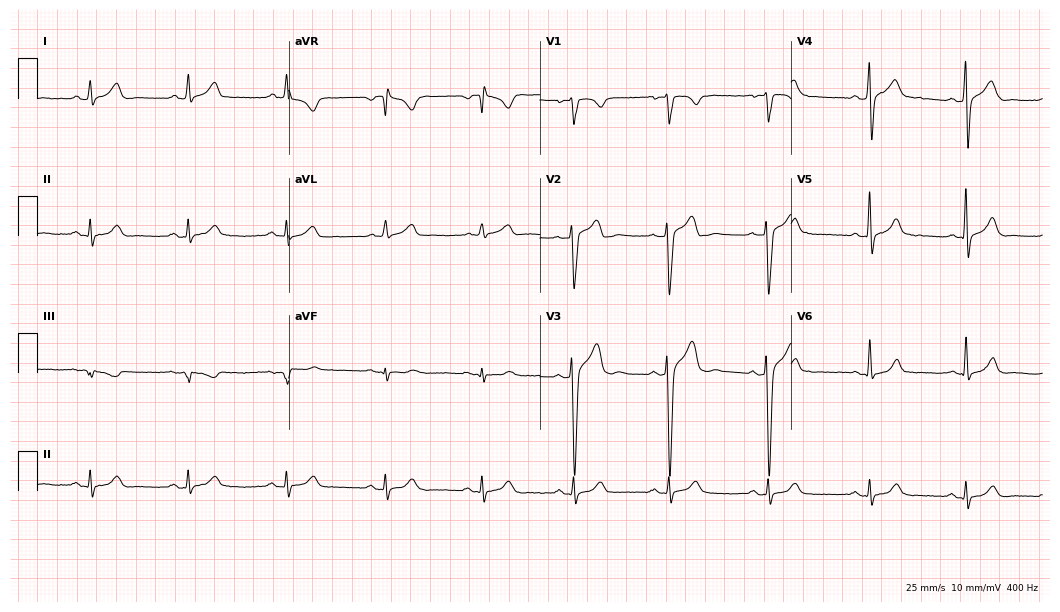
12-lead ECG (10.2-second recording at 400 Hz) from a male, 30 years old. Labelled as a normal ECG.